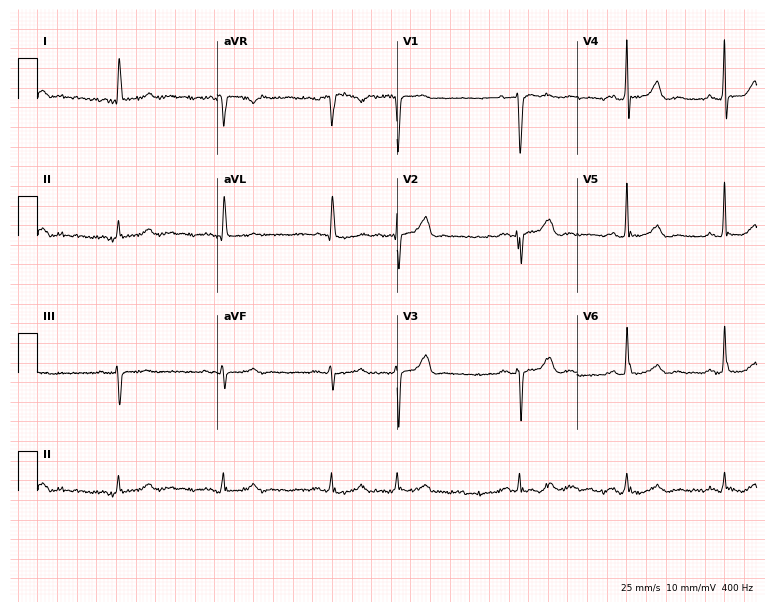
Standard 12-lead ECG recorded from a 74-year-old female (7.3-second recording at 400 Hz). None of these six findings is recorded: first-degree AV block, right bundle branch block, left bundle branch block, sinus bradycardia, atrial fibrillation, sinus tachycardia.